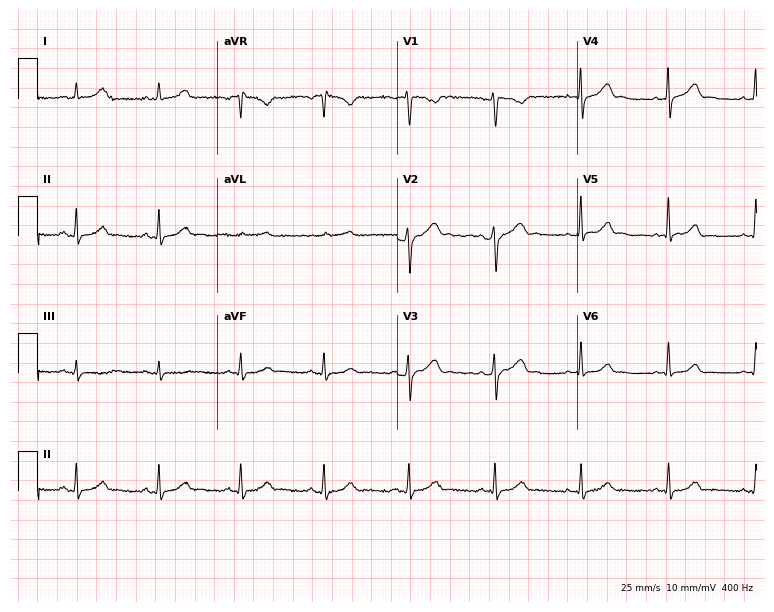
Standard 12-lead ECG recorded from a 37-year-old female patient (7.3-second recording at 400 Hz). None of these six findings is recorded: first-degree AV block, right bundle branch block, left bundle branch block, sinus bradycardia, atrial fibrillation, sinus tachycardia.